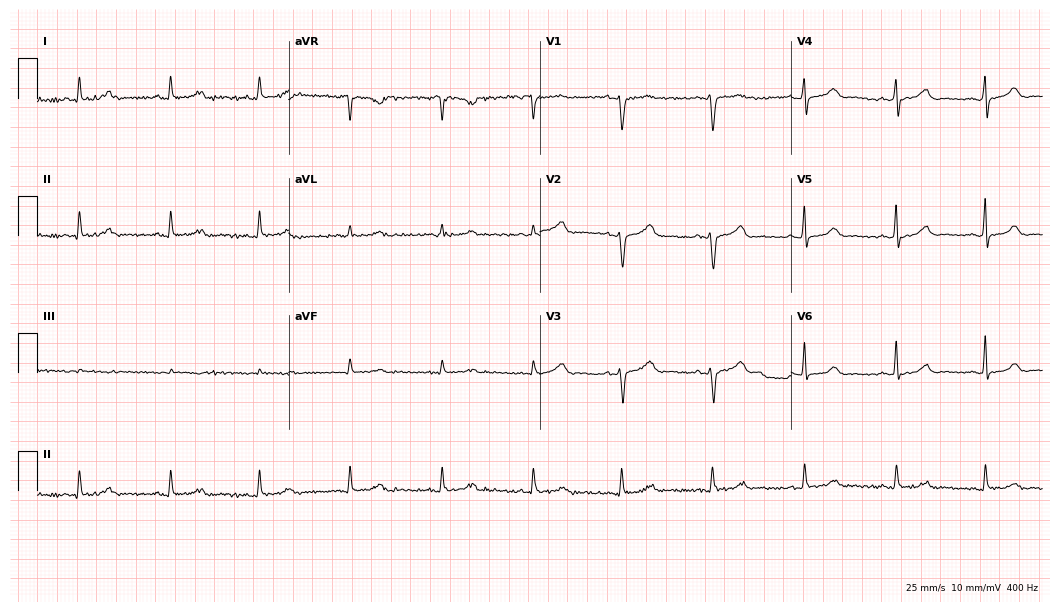
ECG (10.2-second recording at 400 Hz) — a 31-year-old female patient. Labelled as a normal ECG.